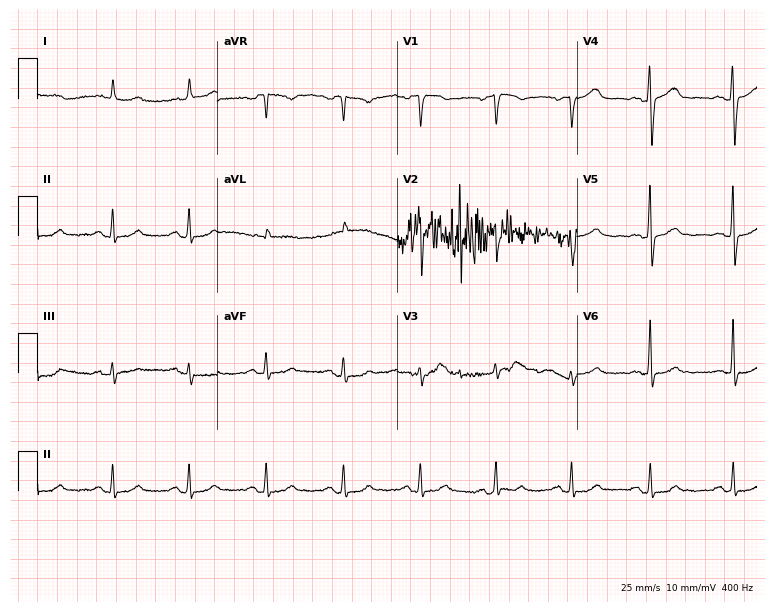
12-lead ECG (7.3-second recording at 400 Hz) from a male, 80 years old. Labelled as a normal ECG.